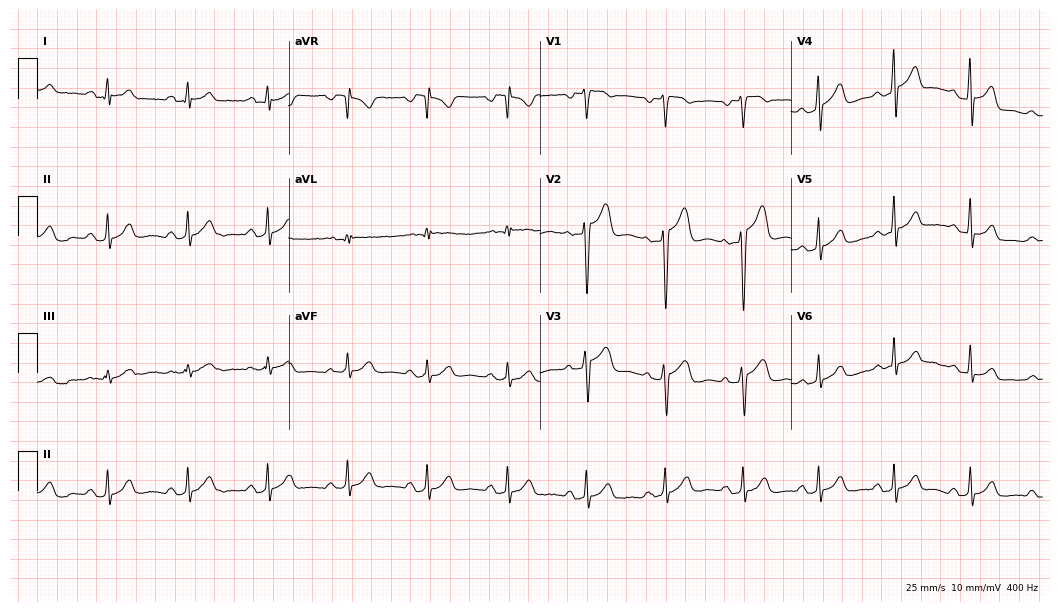
12-lead ECG (10.2-second recording at 400 Hz) from a 30-year-old male patient. Labelled as a normal ECG.